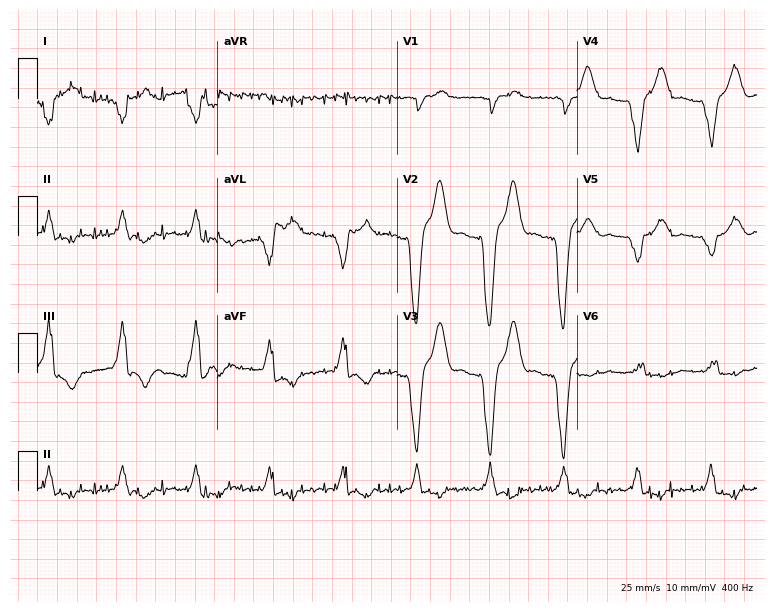
Standard 12-lead ECG recorded from a female patient, 64 years old (7.3-second recording at 400 Hz). None of these six findings is recorded: first-degree AV block, right bundle branch block (RBBB), left bundle branch block (LBBB), sinus bradycardia, atrial fibrillation (AF), sinus tachycardia.